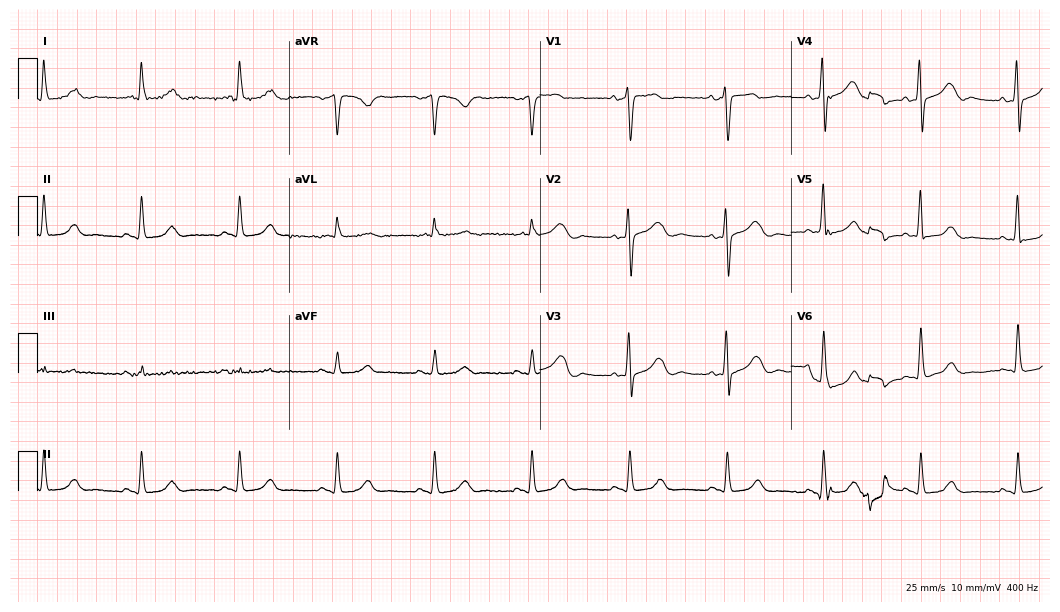
Electrocardiogram (10.2-second recording at 400 Hz), a 78-year-old female. Overall reading on record: normal ECG.